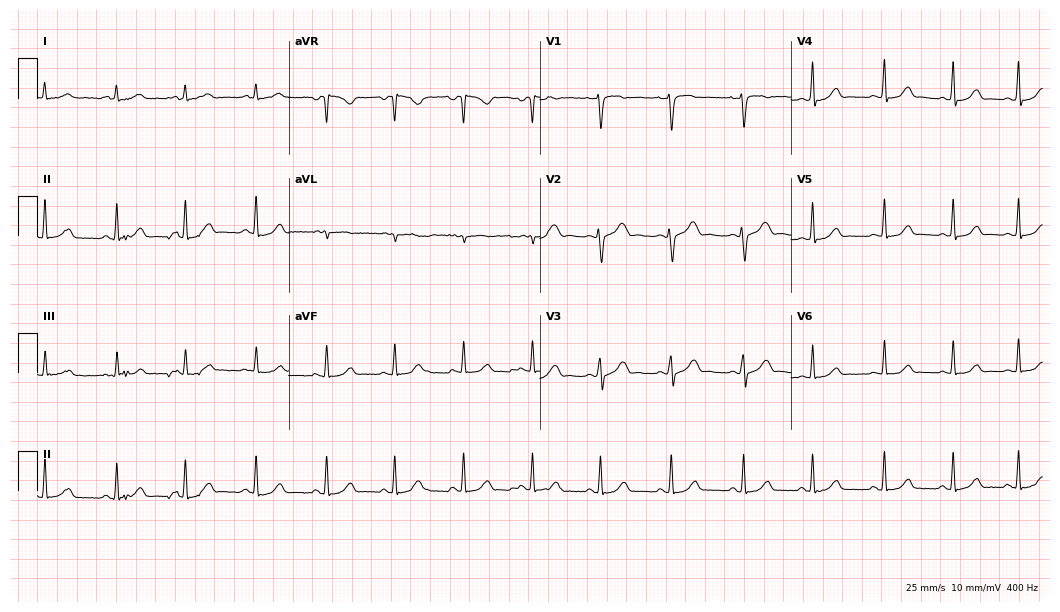
Electrocardiogram (10.2-second recording at 400 Hz), a female patient, 25 years old. Overall reading on record: normal ECG.